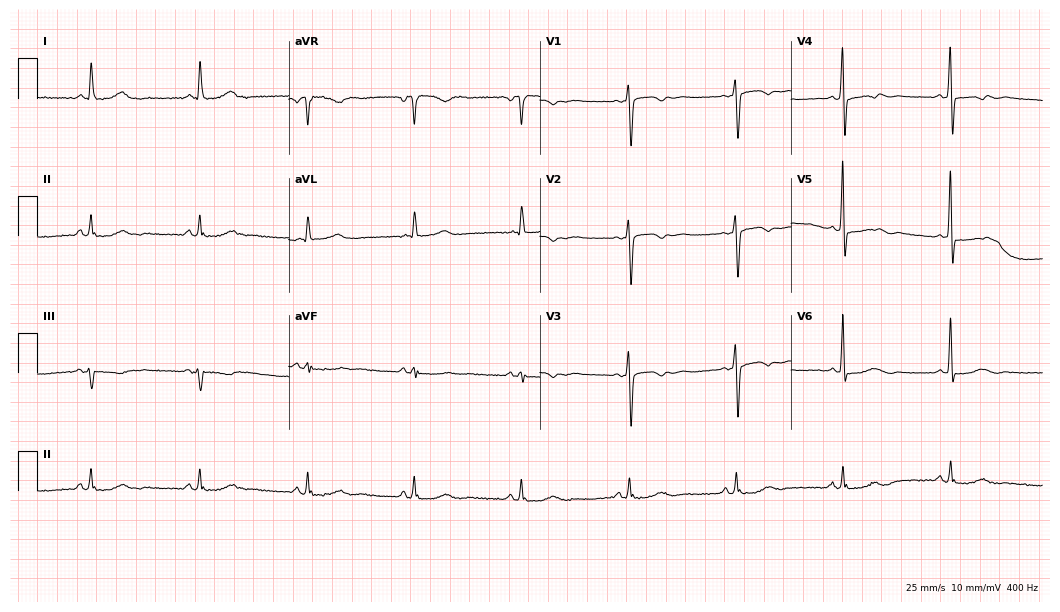
Electrocardiogram, a female, 74 years old. Of the six screened findings (first-degree AV block, right bundle branch block (RBBB), left bundle branch block (LBBB), sinus bradycardia, atrial fibrillation (AF), sinus tachycardia), none is recorded.